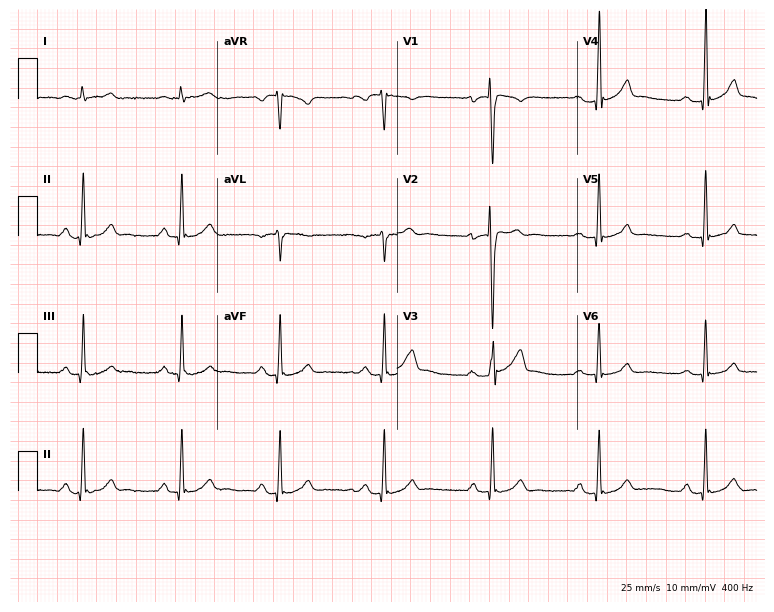
12-lead ECG from a male, 36 years old. Labelled as a normal ECG.